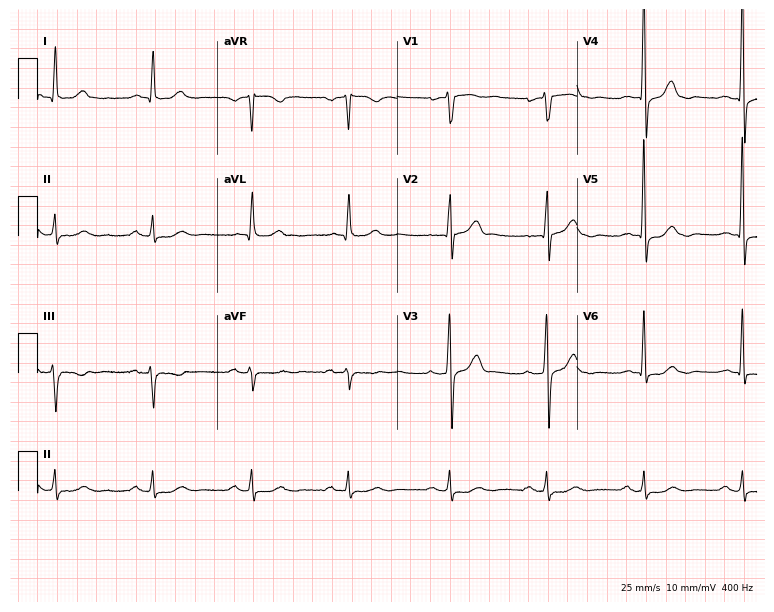
Electrocardiogram (7.3-second recording at 400 Hz), an 85-year-old male patient. Overall reading on record: normal ECG.